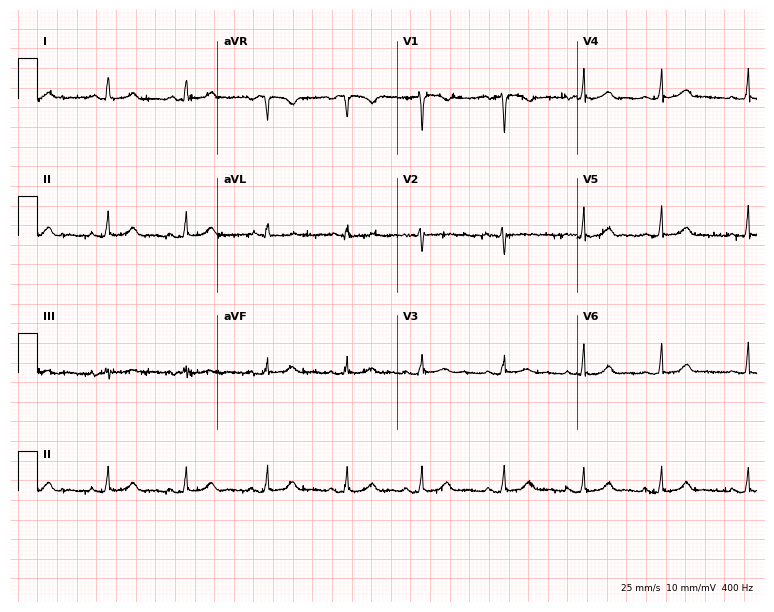
ECG — a female, 18 years old. Labelled as a normal ECG.